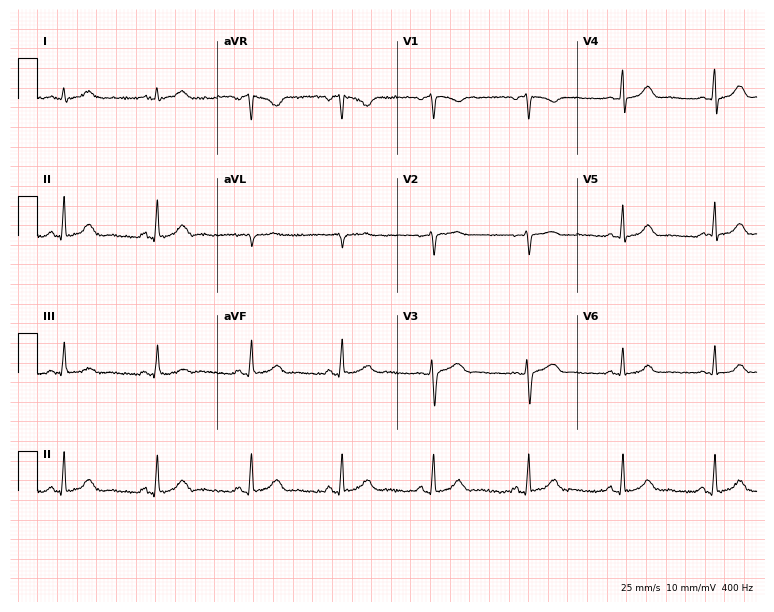
Resting 12-lead electrocardiogram (7.3-second recording at 400 Hz). Patient: a female, 38 years old. Read as a normal ECG.